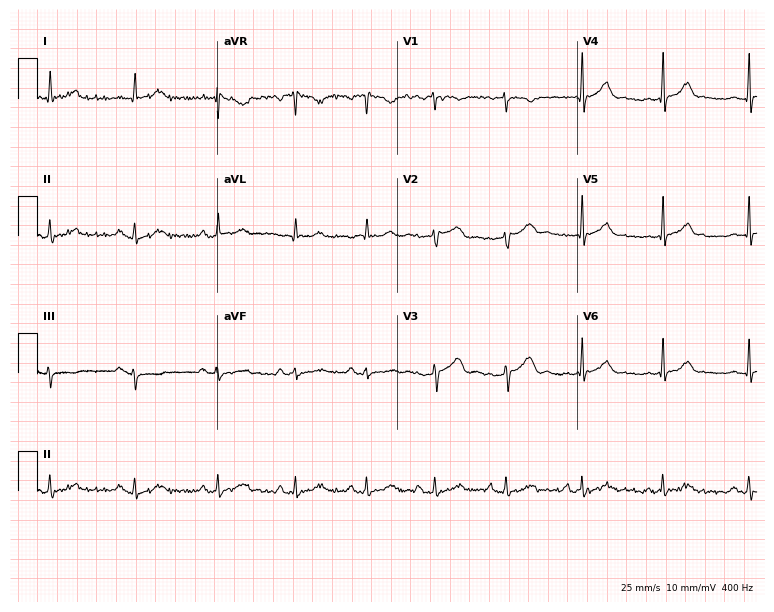
Electrocardiogram, a 41-year-old female patient. Of the six screened findings (first-degree AV block, right bundle branch block (RBBB), left bundle branch block (LBBB), sinus bradycardia, atrial fibrillation (AF), sinus tachycardia), none is recorded. Only these six findings were labelled.